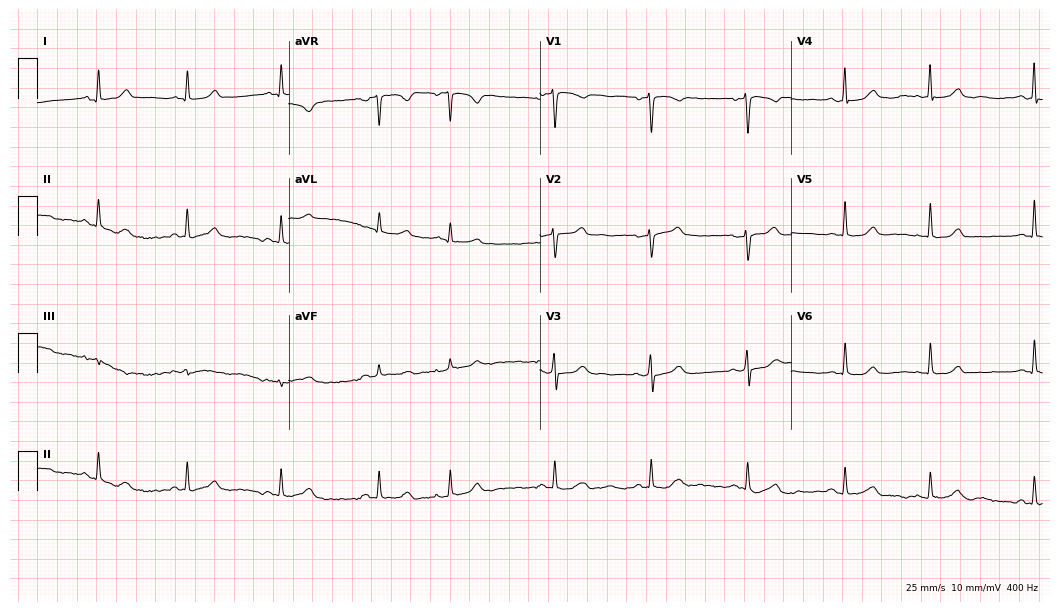
Electrocardiogram (10.2-second recording at 400 Hz), a 45-year-old female. Of the six screened findings (first-degree AV block, right bundle branch block, left bundle branch block, sinus bradycardia, atrial fibrillation, sinus tachycardia), none is recorded. Other findings, if any, are not listed.